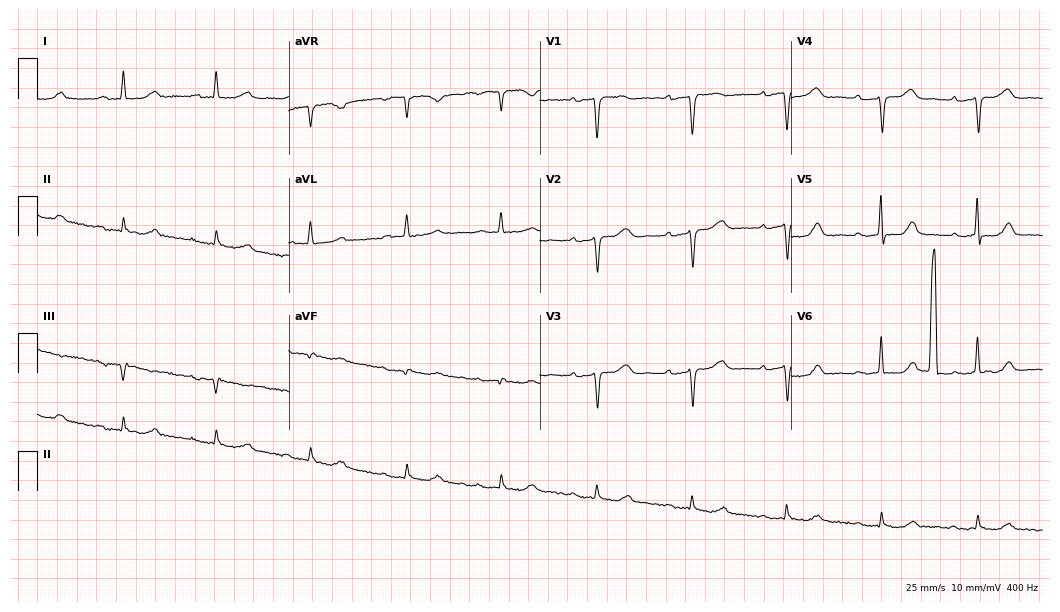
Standard 12-lead ECG recorded from a 73-year-old female (10.2-second recording at 400 Hz). The tracing shows first-degree AV block, atrial fibrillation (AF).